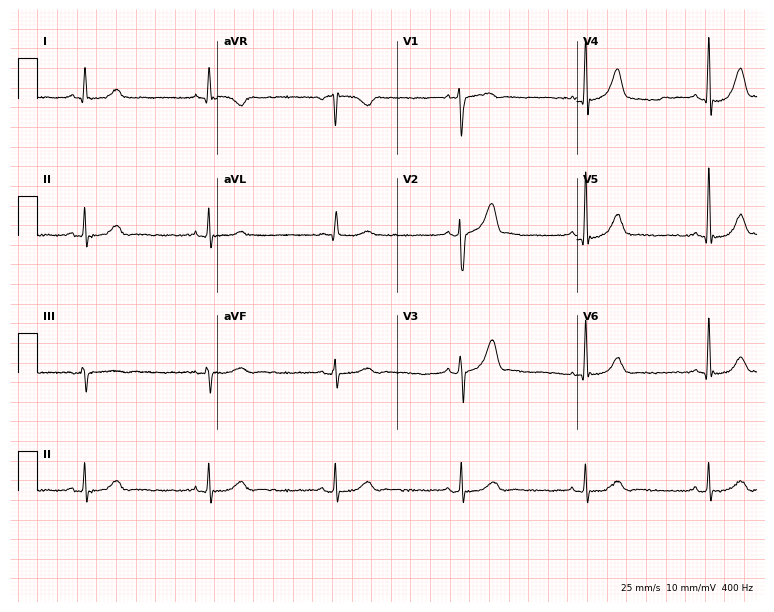
Electrocardiogram (7.3-second recording at 400 Hz), a male, 77 years old. Interpretation includes sinus bradycardia (a sinus rate of 50 beats per minute or less).